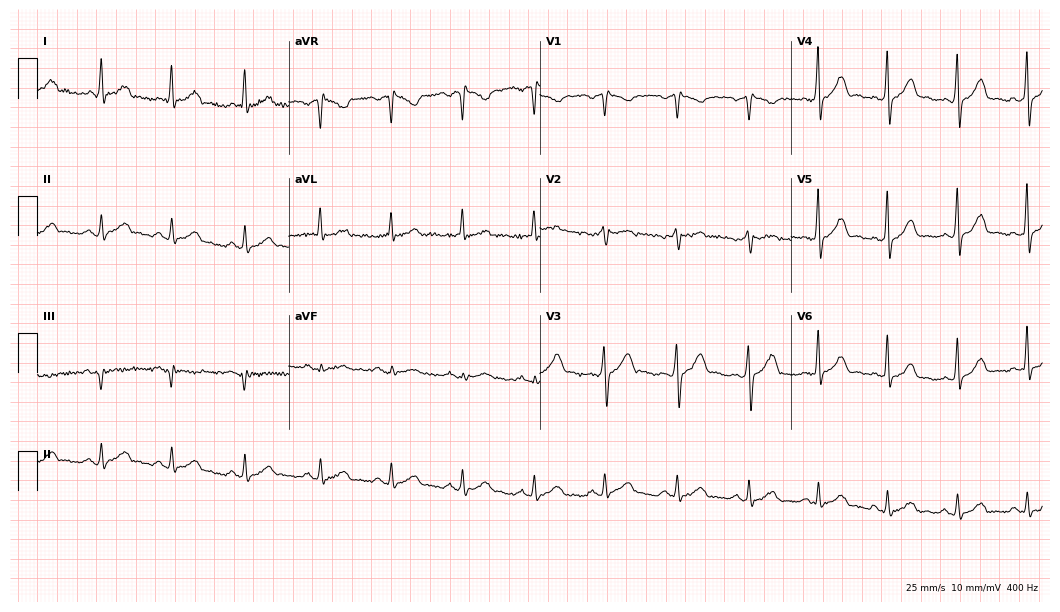
Standard 12-lead ECG recorded from a 45-year-old male. None of these six findings is recorded: first-degree AV block, right bundle branch block, left bundle branch block, sinus bradycardia, atrial fibrillation, sinus tachycardia. Findings outside these six are not listed.